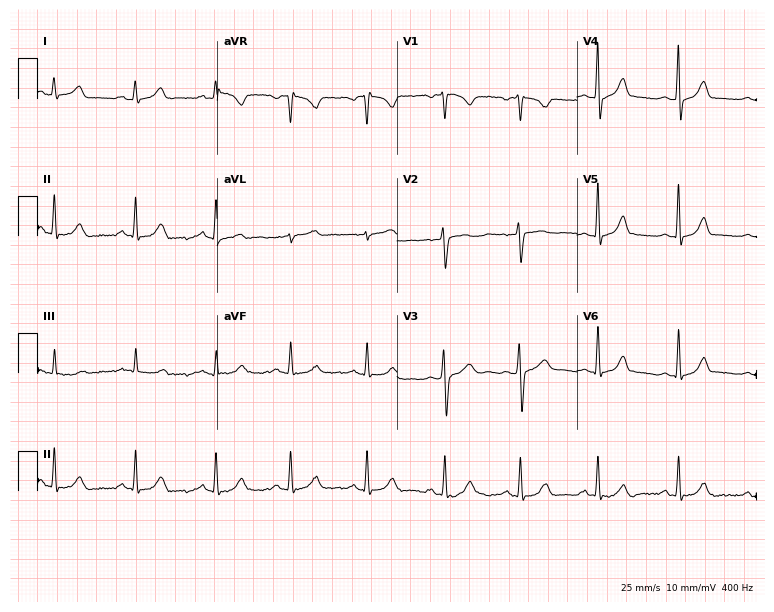
Resting 12-lead electrocardiogram. Patient: a 23-year-old female. None of these six findings is recorded: first-degree AV block, right bundle branch block (RBBB), left bundle branch block (LBBB), sinus bradycardia, atrial fibrillation (AF), sinus tachycardia.